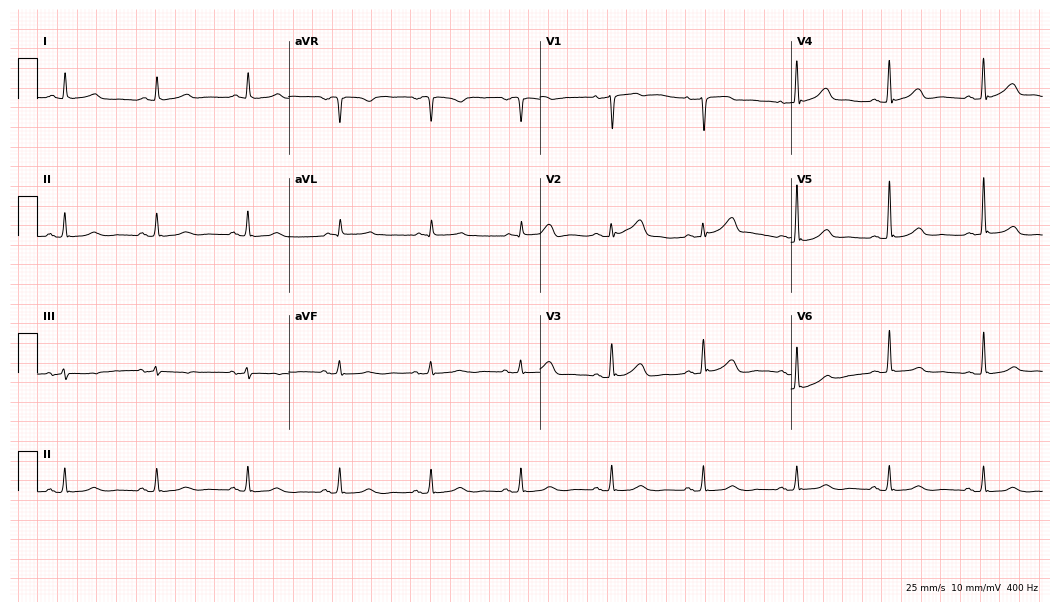
ECG — a 52-year-old woman. Screened for six findings — first-degree AV block, right bundle branch block (RBBB), left bundle branch block (LBBB), sinus bradycardia, atrial fibrillation (AF), sinus tachycardia — none is recorded.